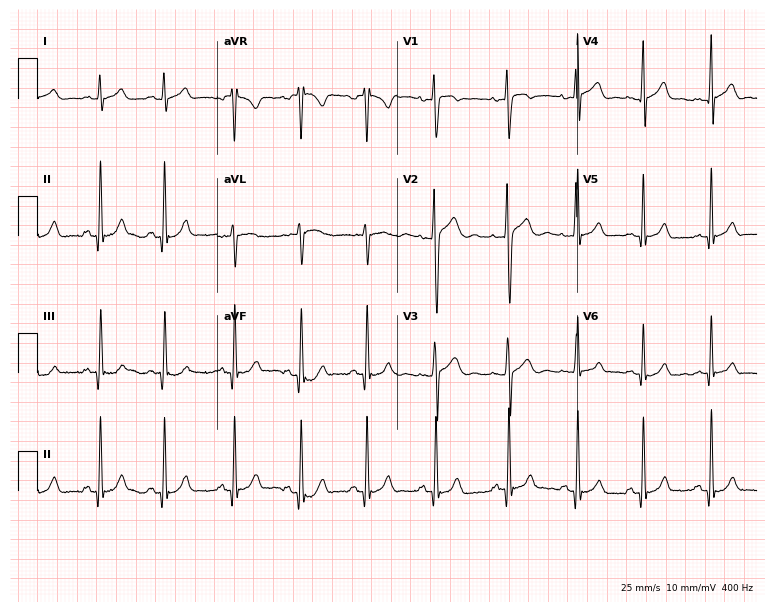
Standard 12-lead ECG recorded from a 23-year-old male (7.3-second recording at 400 Hz). None of these six findings is recorded: first-degree AV block, right bundle branch block, left bundle branch block, sinus bradycardia, atrial fibrillation, sinus tachycardia. Findings outside these six are not listed.